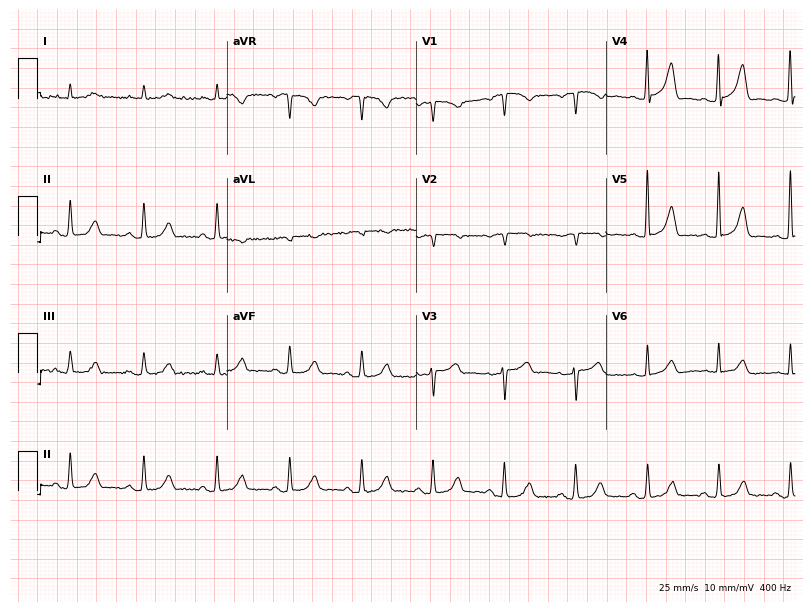
Electrocardiogram, an 81-year-old female patient. Overall reading on record: normal ECG.